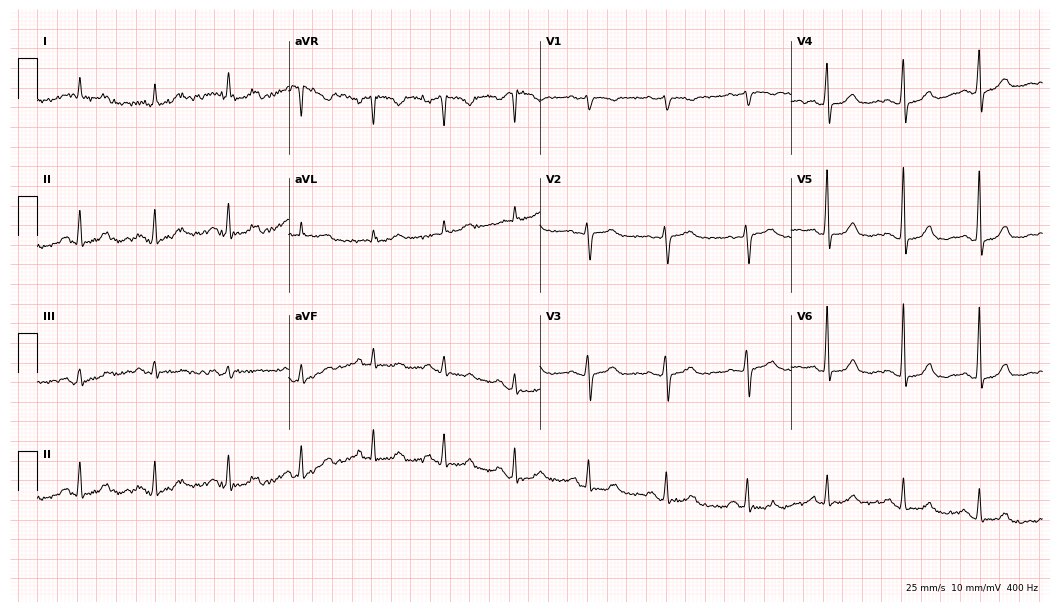
Resting 12-lead electrocardiogram (10.2-second recording at 400 Hz). Patient: a 61-year-old female. Read as a normal ECG.